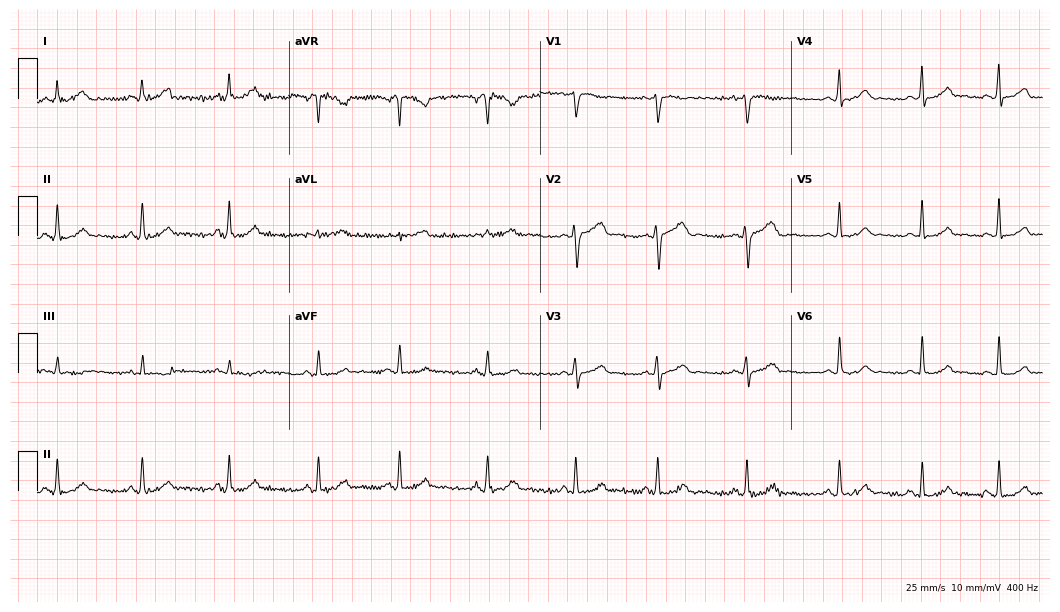
12-lead ECG from a 24-year-old female. Recorded interpretation: within normal limits.